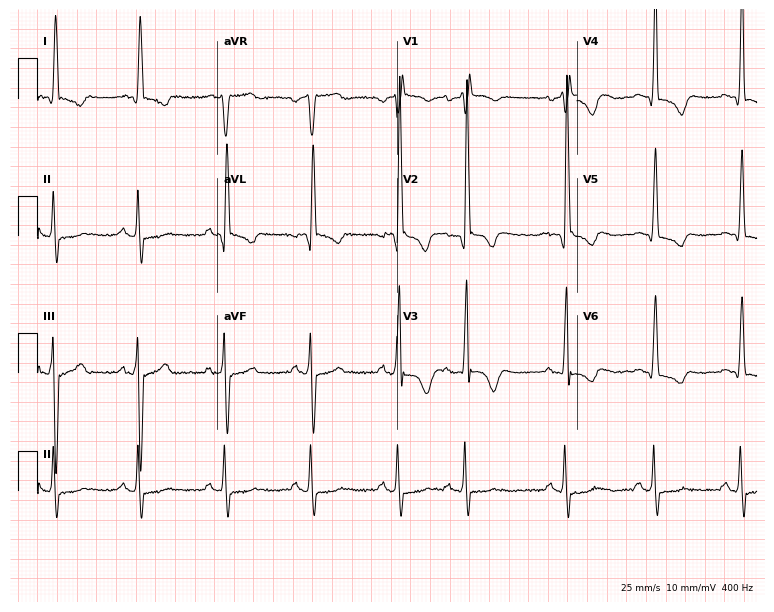
ECG (7.3-second recording at 400 Hz) — a female, 79 years old. Screened for six findings — first-degree AV block, right bundle branch block (RBBB), left bundle branch block (LBBB), sinus bradycardia, atrial fibrillation (AF), sinus tachycardia — none is recorded.